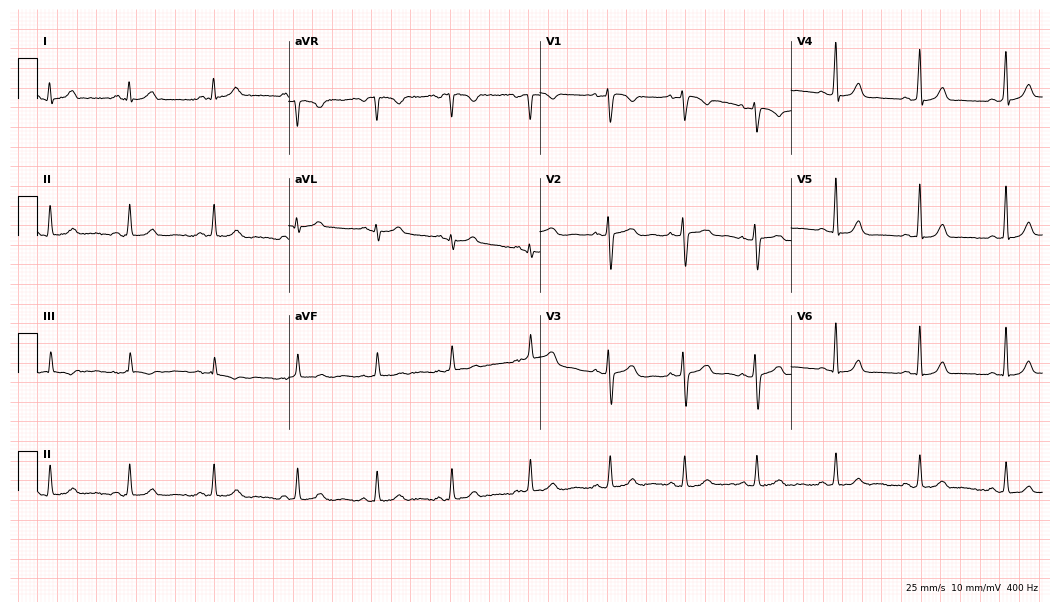
Standard 12-lead ECG recorded from a woman, 33 years old. None of these six findings is recorded: first-degree AV block, right bundle branch block, left bundle branch block, sinus bradycardia, atrial fibrillation, sinus tachycardia. Only these six findings were labelled.